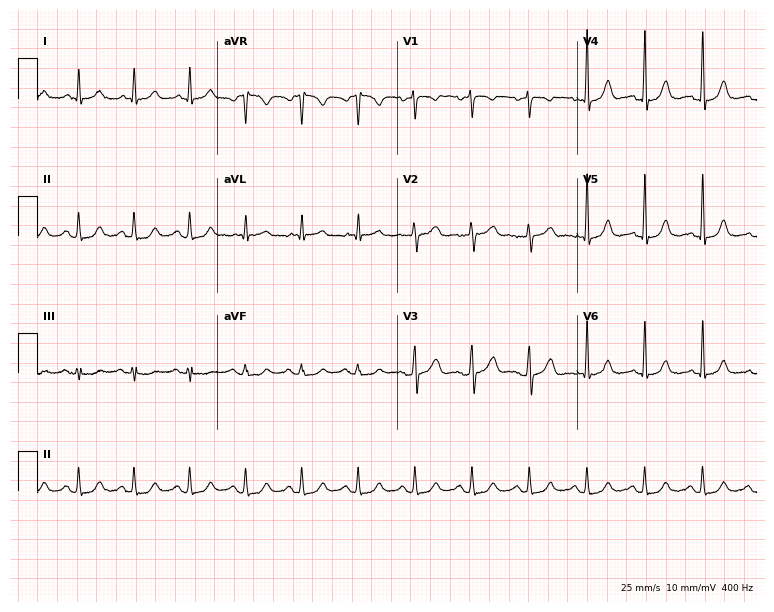
12-lead ECG from a female, 46 years old. Recorded interpretation: within normal limits.